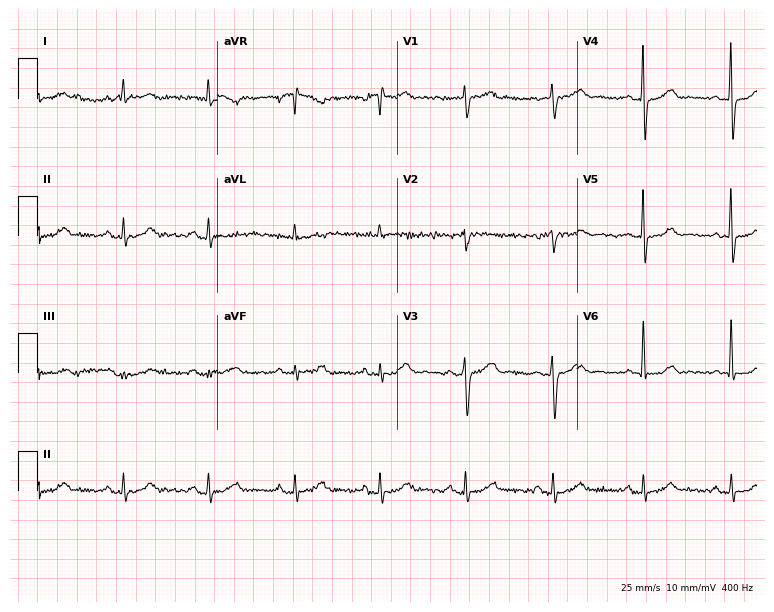
ECG — a male patient, 66 years old. Labelled as a normal ECG.